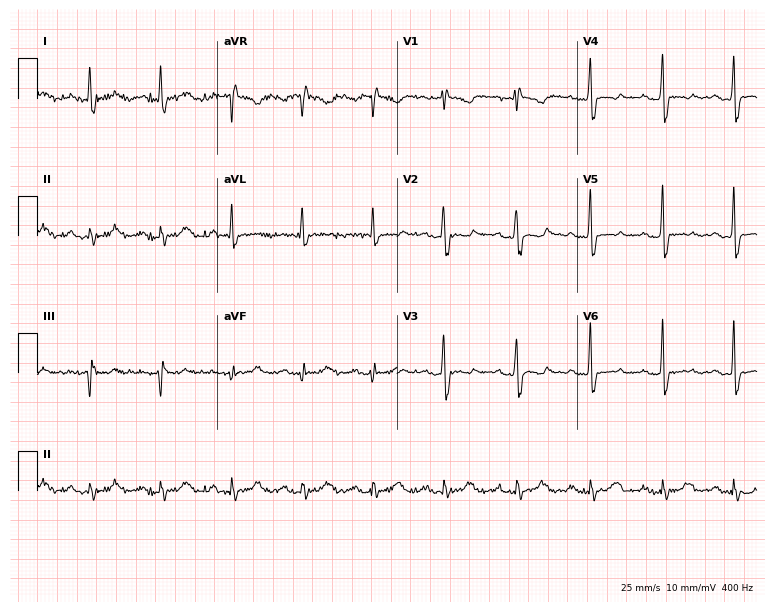
Electrocardiogram, a 31-year-old female patient. Of the six screened findings (first-degree AV block, right bundle branch block (RBBB), left bundle branch block (LBBB), sinus bradycardia, atrial fibrillation (AF), sinus tachycardia), none is recorded. Findings outside these six are not listed.